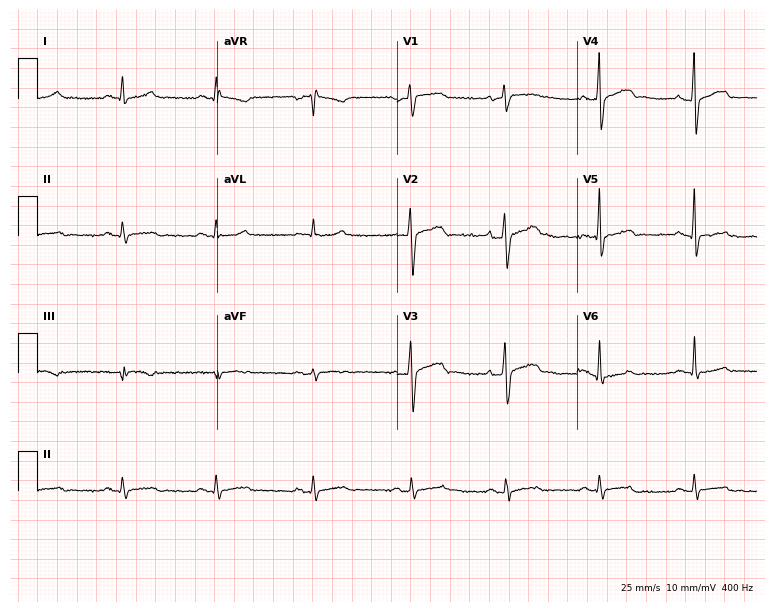
12-lead ECG from a 55-year-old male patient. Labelled as a normal ECG.